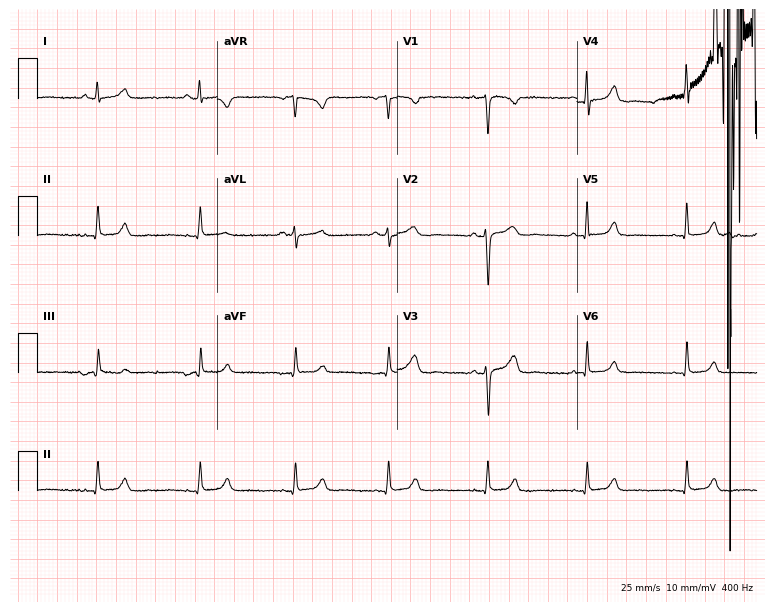
Standard 12-lead ECG recorded from a female, 31 years old. Read as a normal ECG.